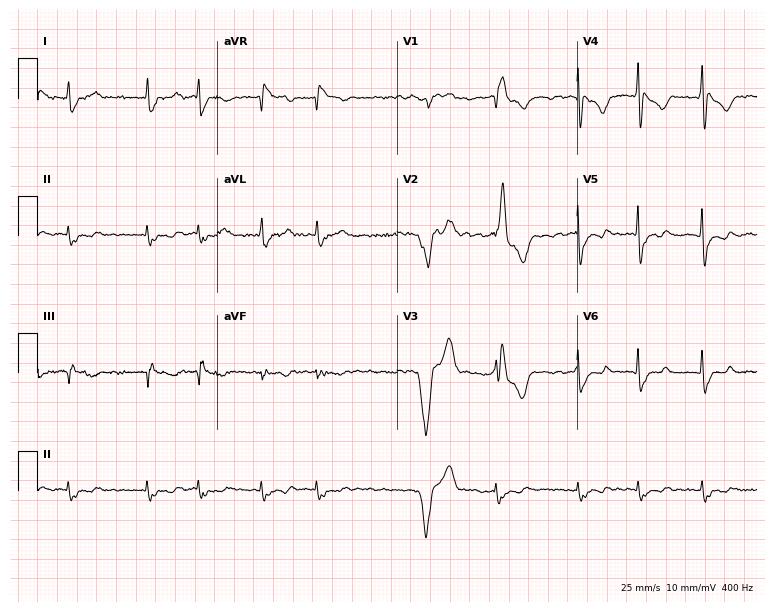
Standard 12-lead ECG recorded from a male, 76 years old (7.3-second recording at 400 Hz). The tracing shows right bundle branch block, atrial fibrillation.